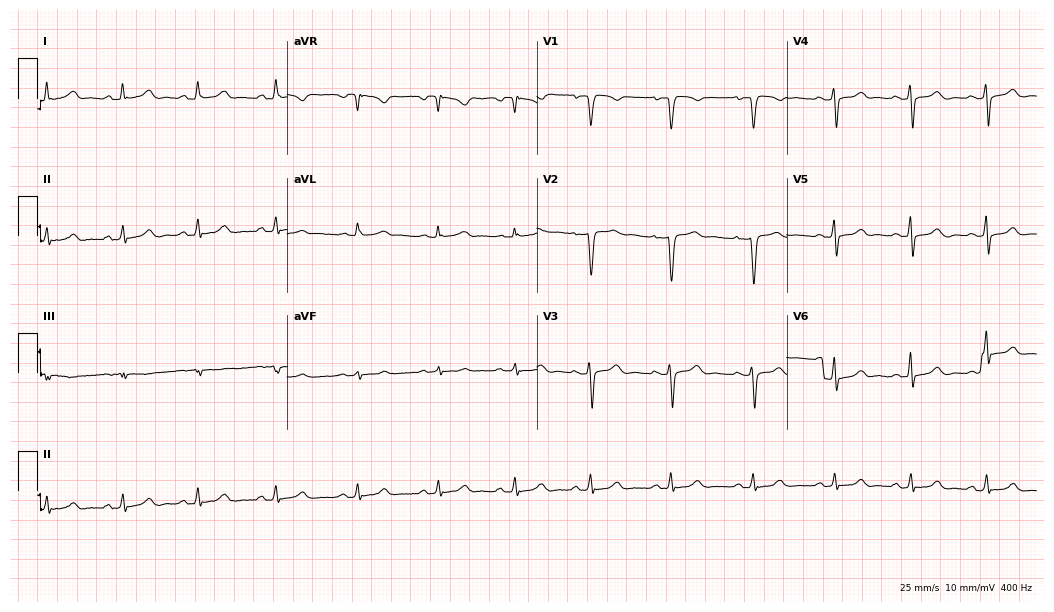
Resting 12-lead electrocardiogram. Patient: a female, 39 years old. None of these six findings is recorded: first-degree AV block, right bundle branch block, left bundle branch block, sinus bradycardia, atrial fibrillation, sinus tachycardia.